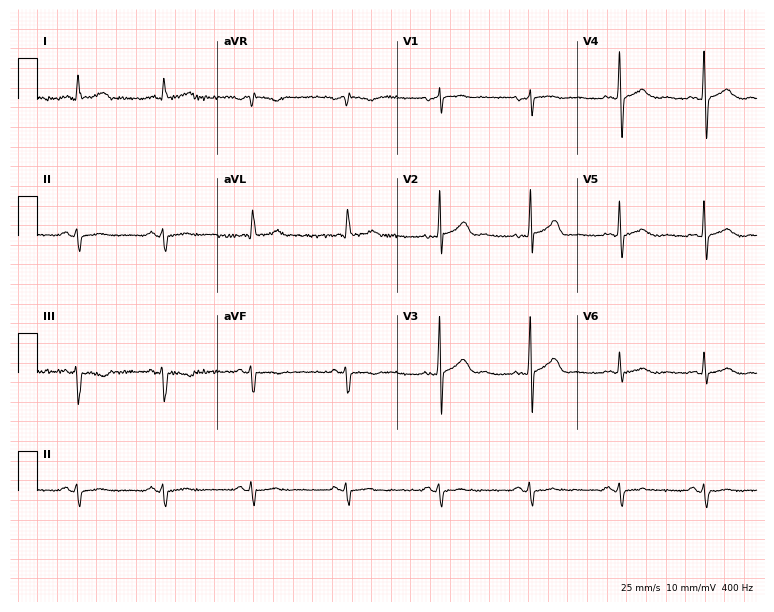
12-lead ECG from a 62-year-old male (7.3-second recording at 400 Hz). No first-degree AV block, right bundle branch block, left bundle branch block, sinus bradycardia, atrial fibrillation or sinus tachycardia recorded for this tracing. Findings outside these six are not listed.